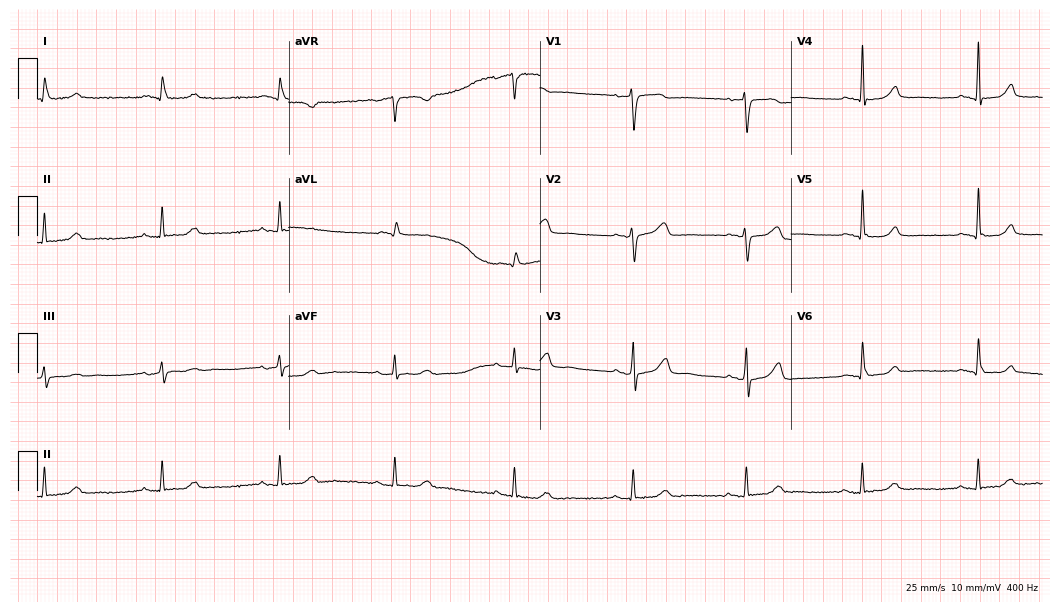
12-lead ECG from a 73-year-old woman. Screened for six findings — first-degree AV block, right bundle branch block (RBBB), left bundle branch block (LBBB), sinus bradycardia, atrial fibrillation (AF), sinus tachycardia — none is recorded.